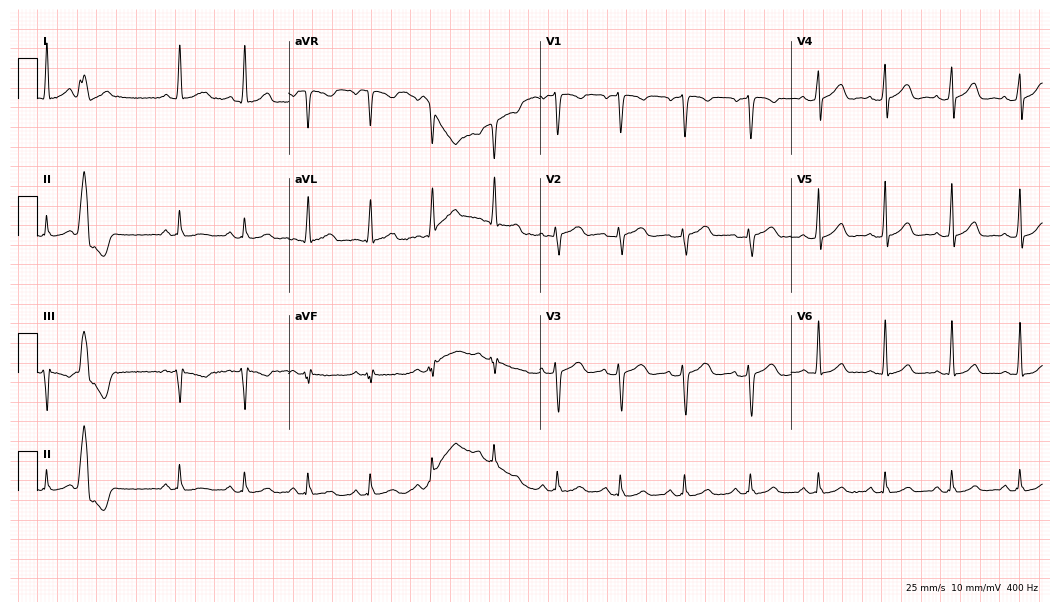
Resting 12-lead electrocardiogram (10.2-second recording at 400 Hz). Patient: a female, 34 years old. None of these six findings is recorded: first-degree AV block, right bundle branch block, left bundle branch block, sinus bradycardia, atrial fibrillation, sinus tachycardia. Only these six findings were labelled.